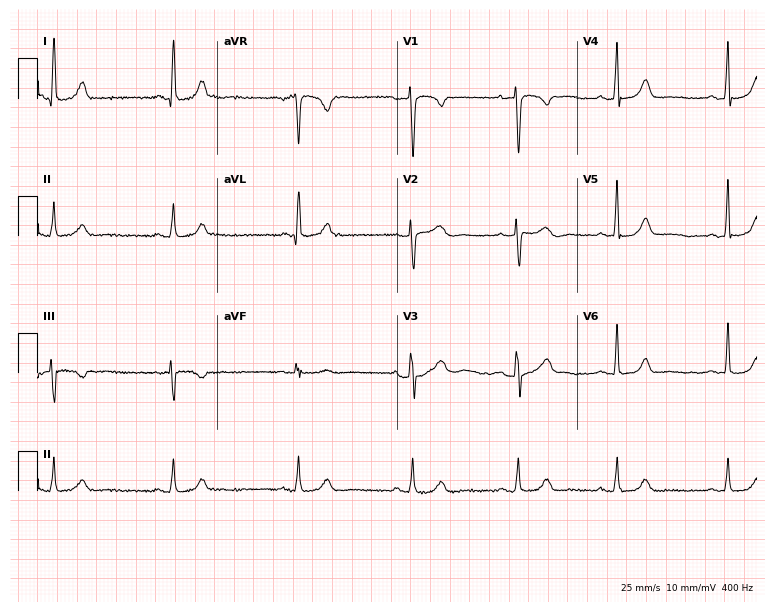
12-lead ECG (7.3-second recording at 400 Hz) from a female patient, 40 years old. Screened for six findings — first-degree AV block, right bundle branch block, left bundle branch block, sinus bradycardia, atrial fibrillation, sinus tachycardia — none is recorded.